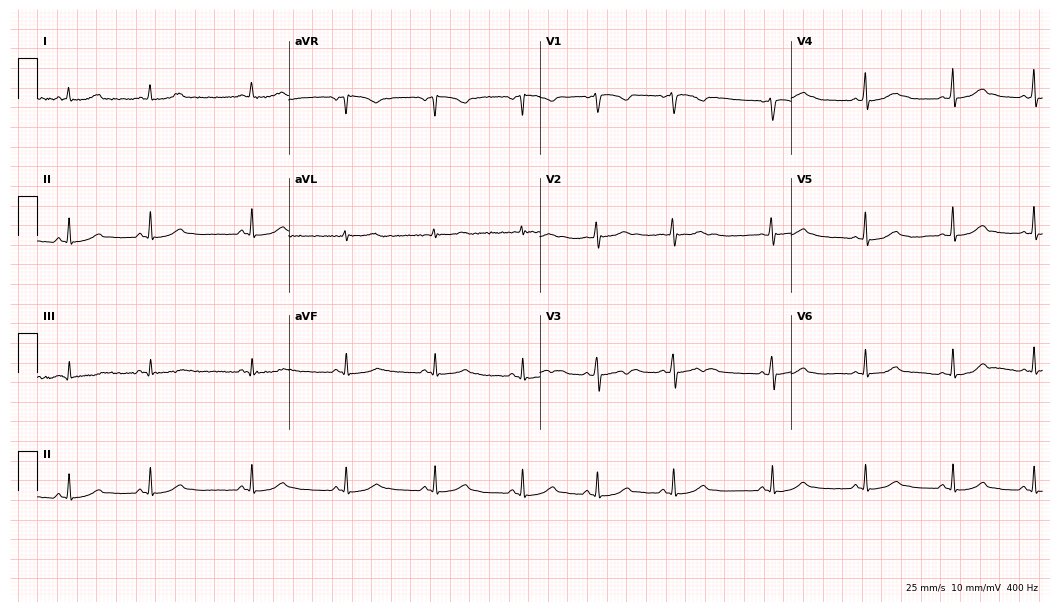
Standard 12-lead ECG recorded from a female, 21 years old (10.2-second recording at 400 Hz). Read as a normal ECG.